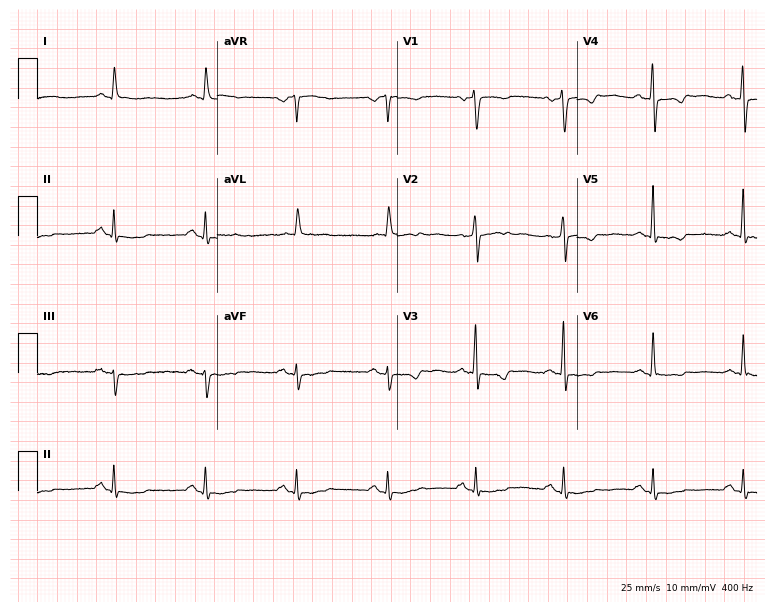
12-lead ECG from a female patient, 76 years old. No first-degree AV block, right bundle branch block, left bundle branch block, sinus bradycardia, atrial fibrillation or sinus tachycardia recorded for this tracing. Other findings, if any, are not listed.